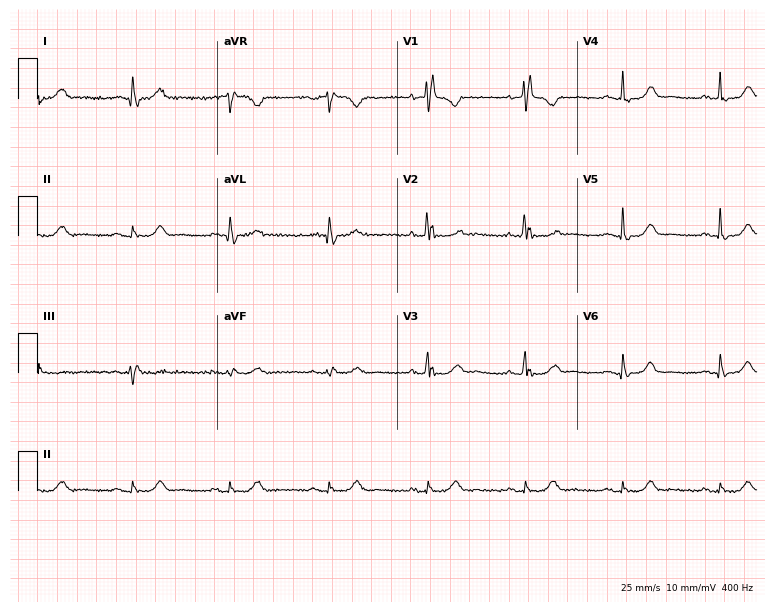
Standard 12-lead ECG recorded from a female, 77 years old (7.3-second recording at 400 Hz). The tracing shows right bundle branch block (RBBB).